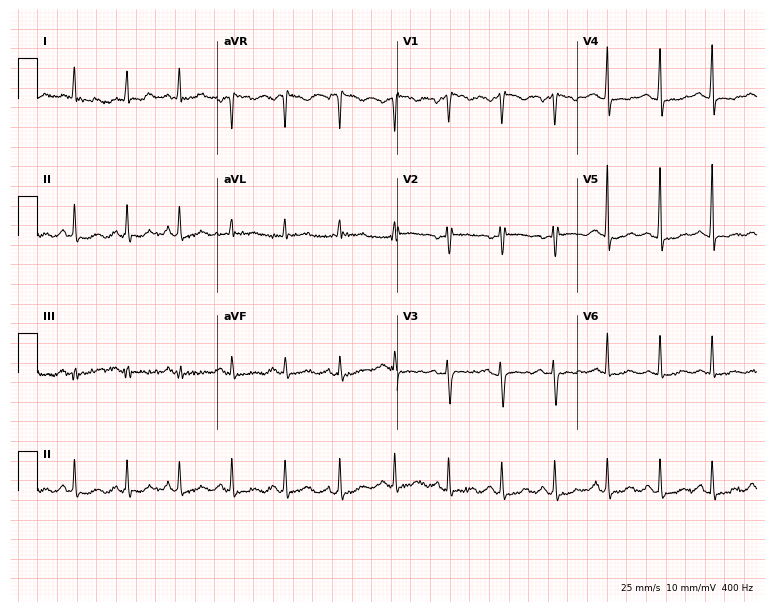
12-lead ECG from a female, 35 years old. Shows sinus tachycardia (a sinus rate of 100 beats per minute or more).